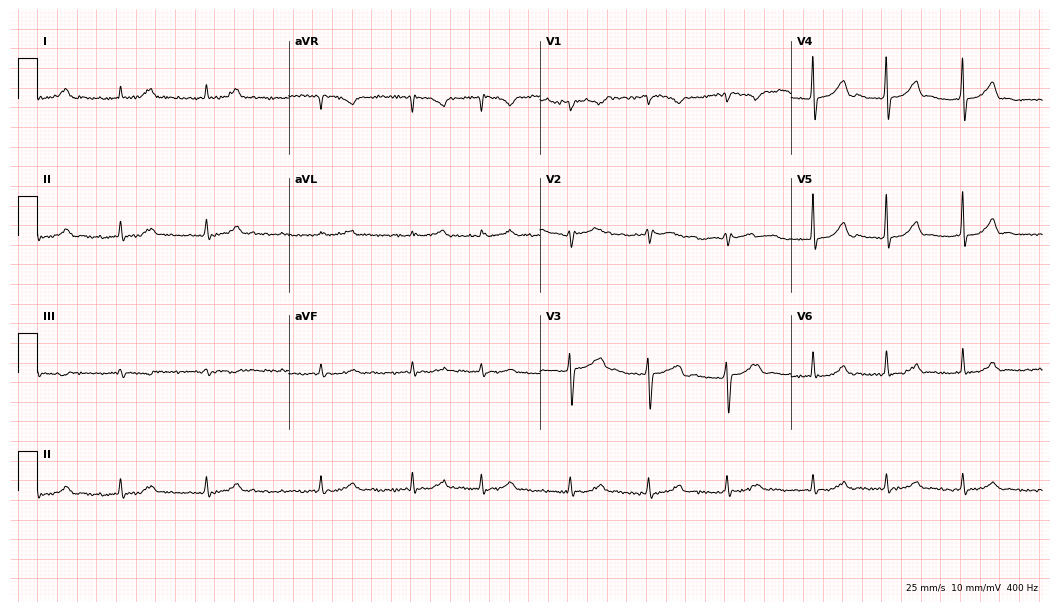
Resting 12-lead electrocardiogram. Patient: a 77-year-old male. The tracing shows atrial fibrillation.